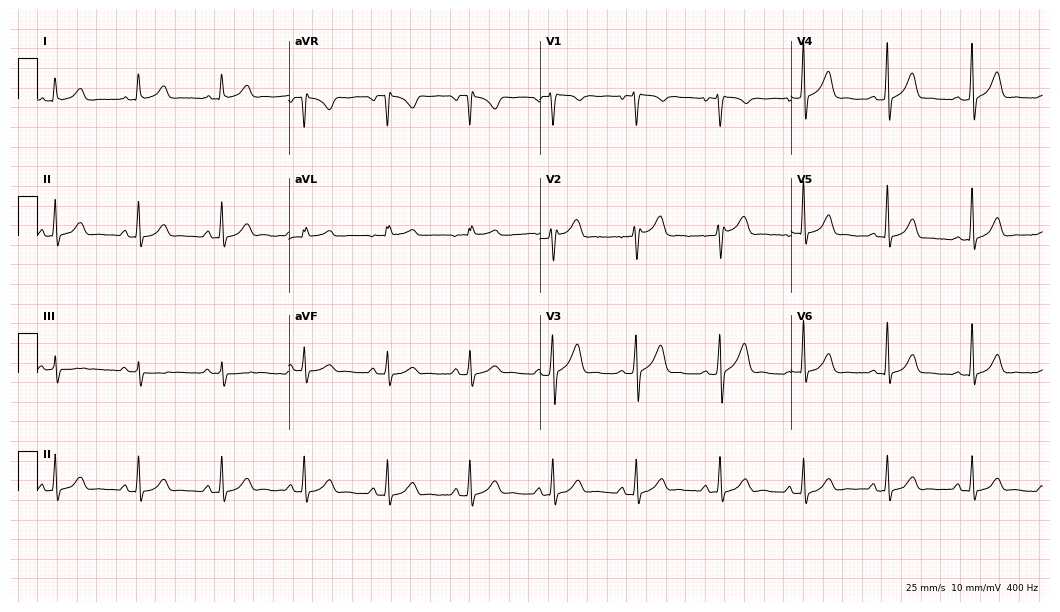
Electrocardiogram (10.2-second recording at 400 Hz), a female patient, 44 years old. Overall reading on record: normal ECG.